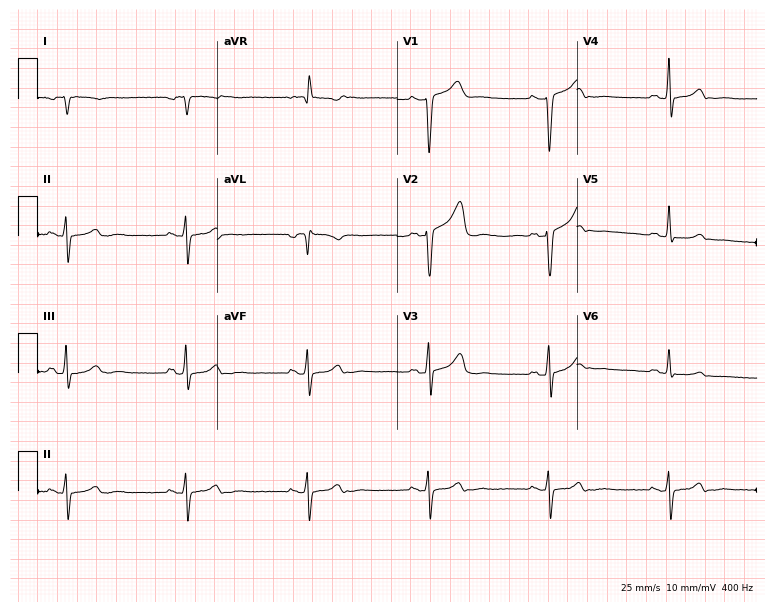
12-lead ECG from an 84-year-old male patient. No first-degree AV block, right bundle branch block, left bundle branch block, sinus bradycardia, atrial fibrillation or sinus tachycardia recorded for this tracing.